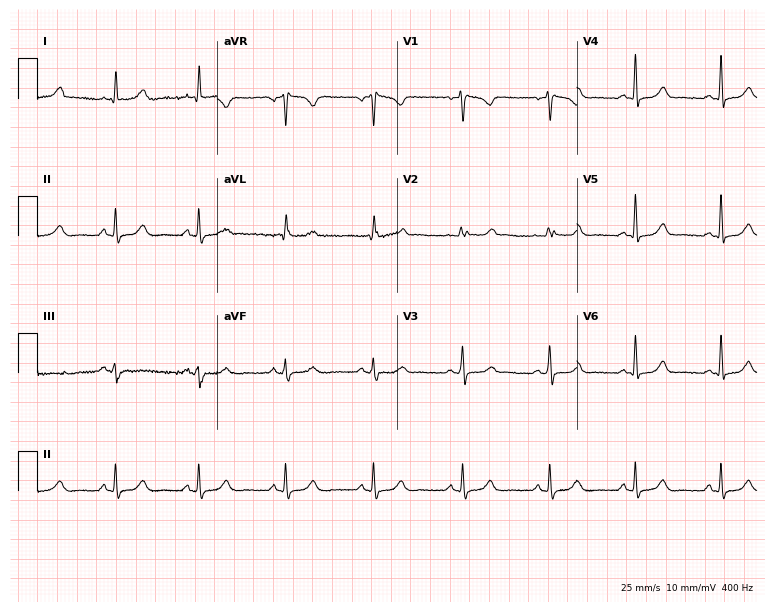
Resting 12-lead electrocardiogram (7.3-second recording at 400 Hz). Patient: a female, 39 years old. Read as a normal ECG.